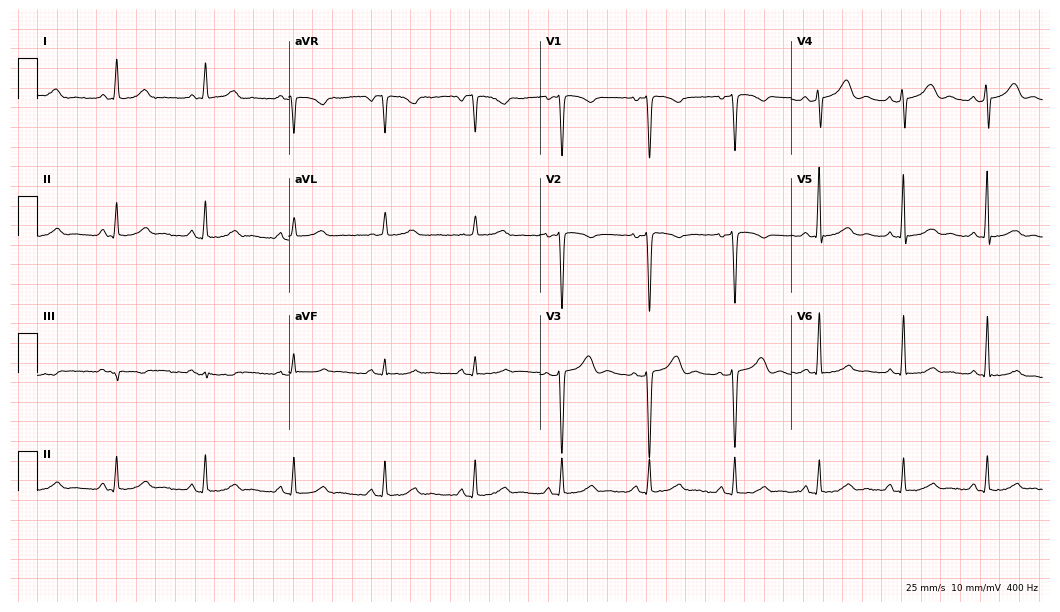
12-lead ECG from a 39-year-old female (10.2-second recording at 400 Hz). No first-degree AV block, right bundle branch block (RBBB), left bundle branch block (LBBB), sinus bradycardia, atrial fibrillation (AF) or sinus tachycardia recorded for this tracing. Only these six findings were labelled.